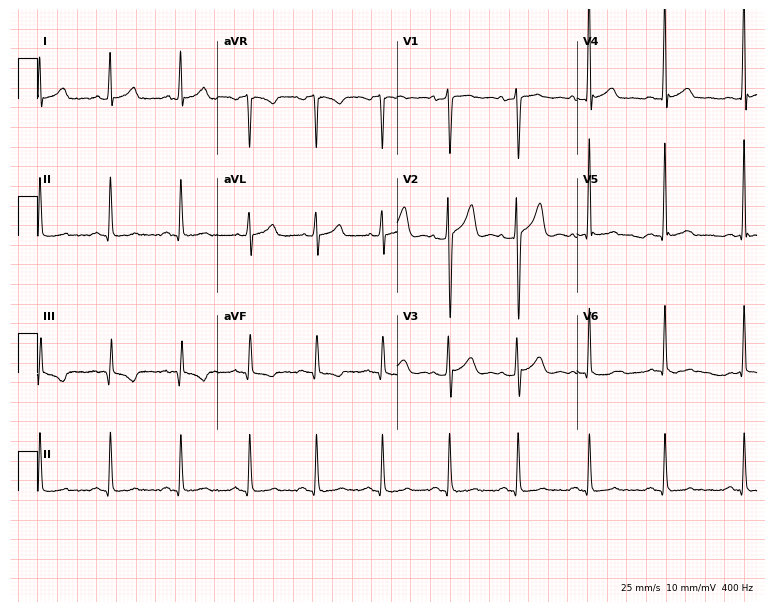
Electrocardiogram (7.3-second recording at 400 Hz), a male patient, 44 years old. Of the six screened findings (first-degree AV block, right bundle branch block, left bundle branch block, sinus bradycardia, atrial fibrillation, sinus tachycardia), none is recorded. Other findings, if any, are not listed.